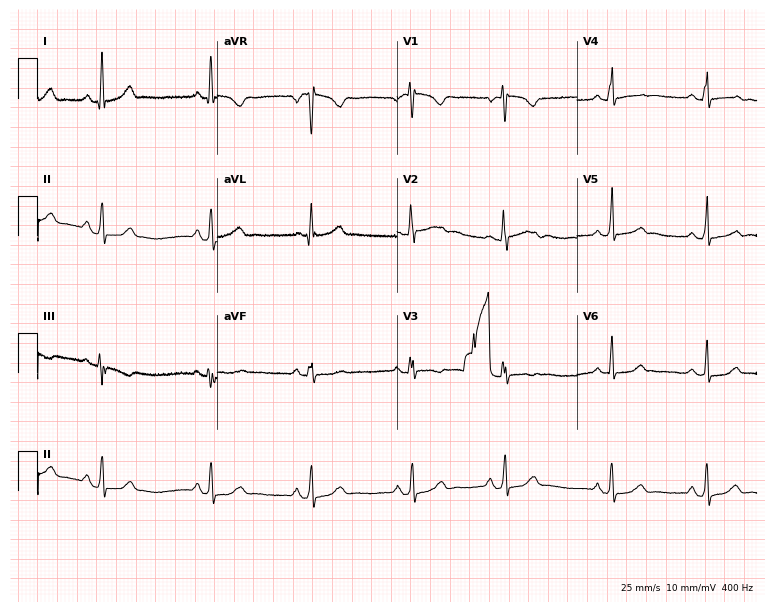
Resting 12-lead electrocardiogram (7.3-second recording at 400 Hz). Patient: a woman, 24 years old. None of these six findings is recorded: first-degree AV block, right bundle branch block, left bundle branch block, sinus bradycardia, atrial fibrillation, sinus tachycardia. Only these six findings were labelled.